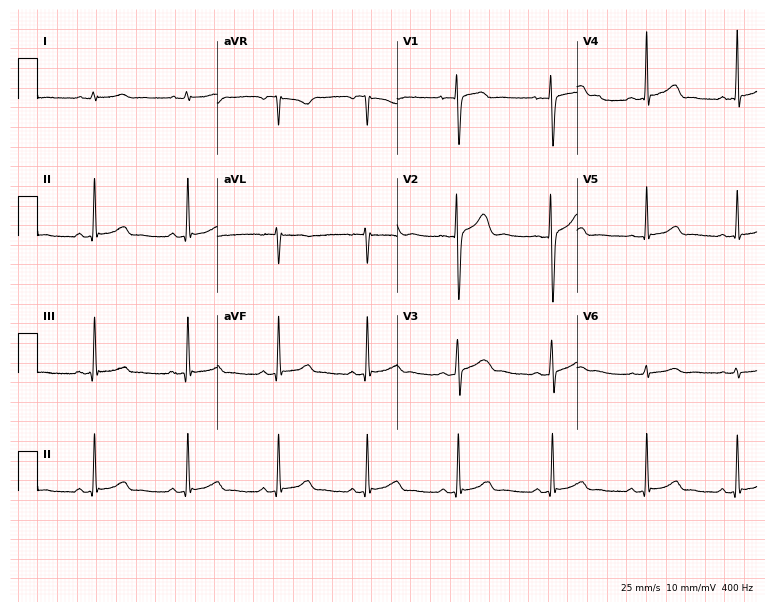
12-lead ECG (7.3-second recording at 400 Hz) from a female, 35 years old. Labelled as a normal ECG.